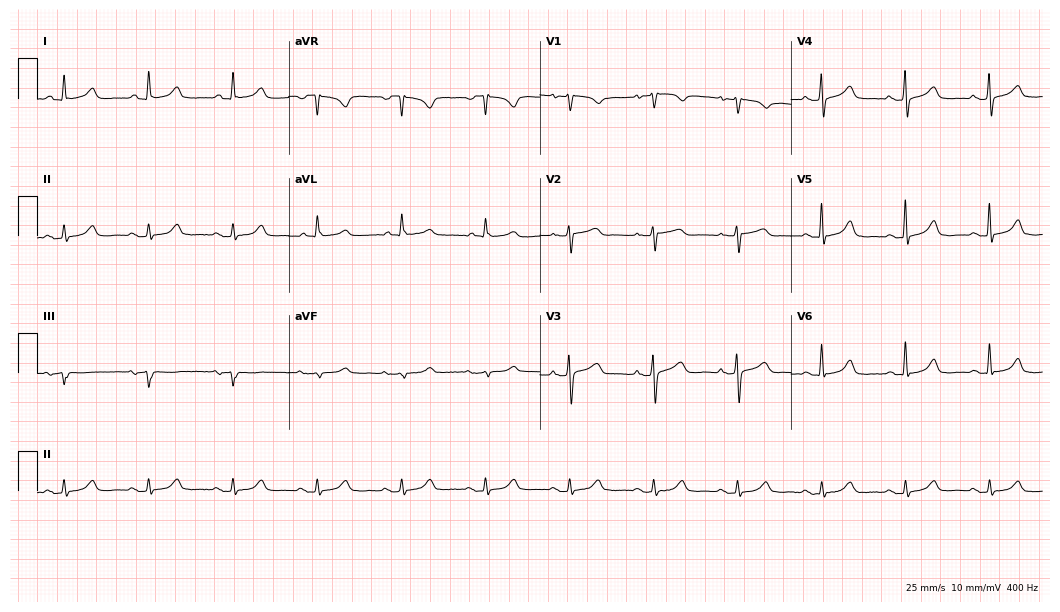
Resting 12-lead electrocardiogram. Patient: a woman, 81 years old. Read as a normal ECG.